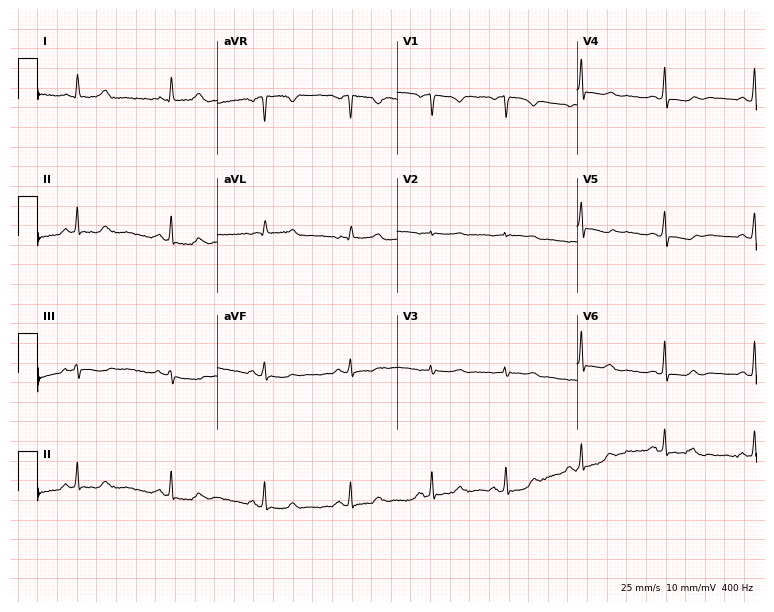
ECG (7.3-second recording at 400 Hz) — a female, 54 years old. Screened for six findings — first-degree AV block, right bundle branch block (RBBB), left bundle branch block (LBBB), sinus bradycardia, atrial fibrillation (AF), sinus tachycardia — none is recorded.